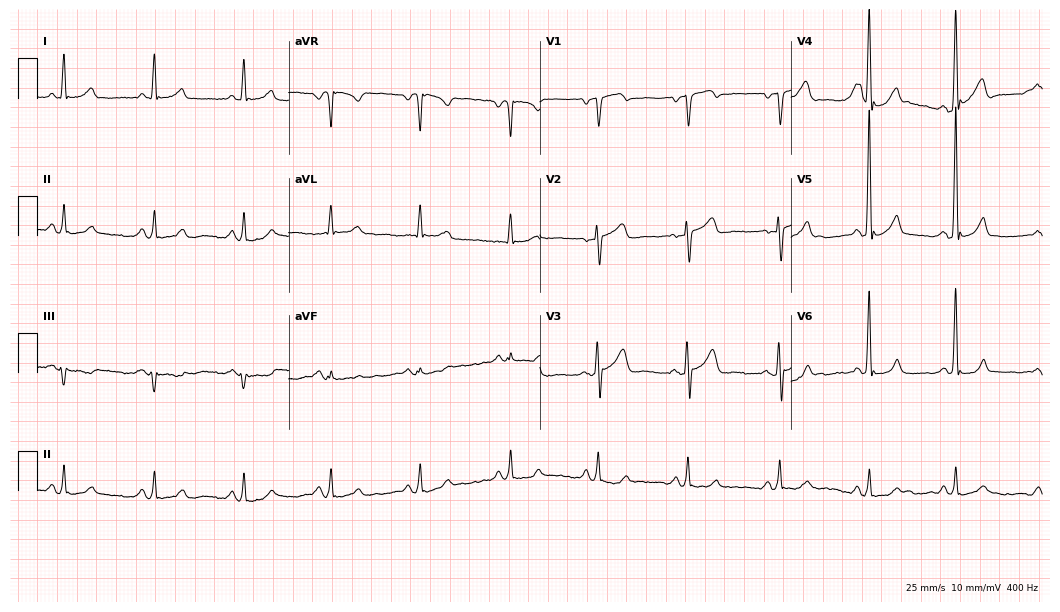
Standard 12-lead ECG recorded from a man, 62 years old. Read as a normal ECG.